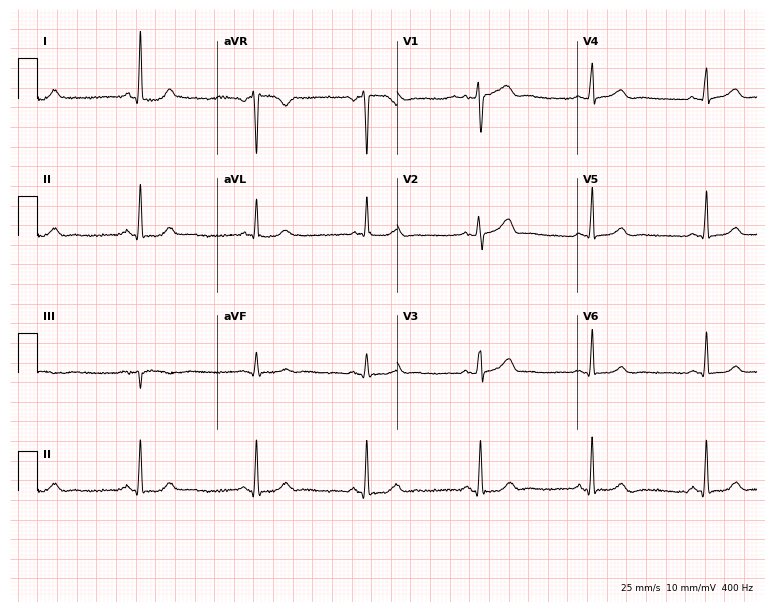
Electrocardiogram (7.3-second recording at 400 Hz), a 46-year-old female. Of the six screened findings (first-degree AV block, right bundle branch block, left bundle branch block, sinus bradycardia, atrial fibrillation, sinus tachycardia), none is recorded. Findings outside these six are not listed.